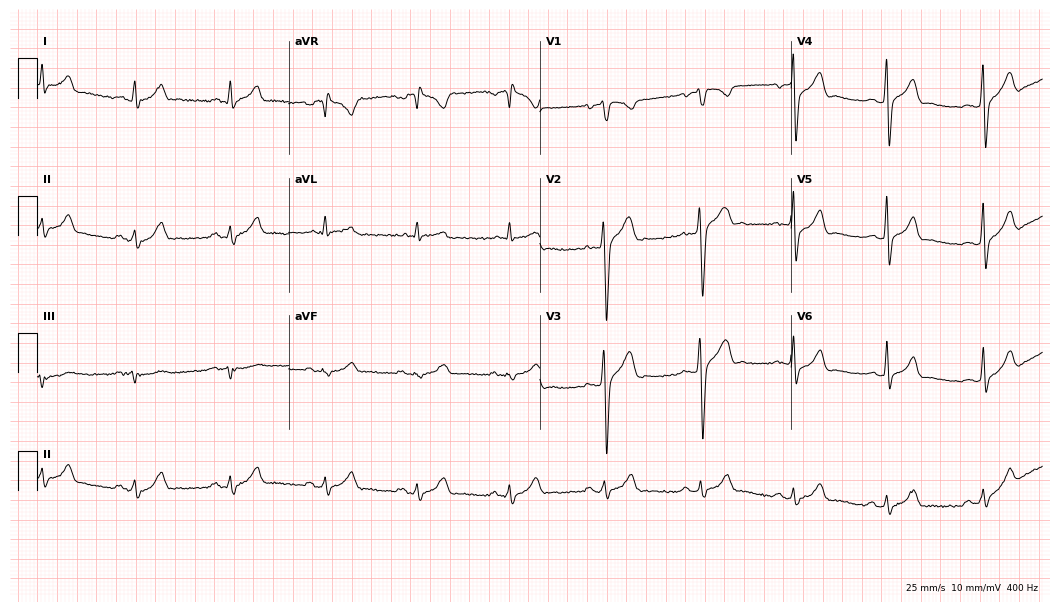
Resting 12-lead electrocardiogram. Patient: a male, 32 years old. Read as a normal ECG.